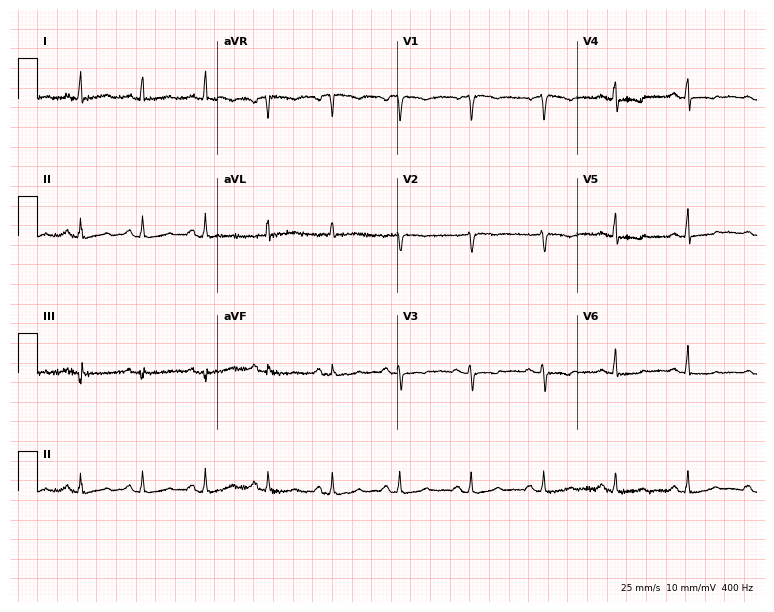
Electrocardiogram (7.3-second recording at 400 Hz), a female patient, 48 years old. Of the six screened findings (first-degree AV block, right bundle branch block (RBBB), left bundle branch block (LBBB), sinus bradycardia, atrial fibrillation (AF), sinus tachycardia), none is recorded.